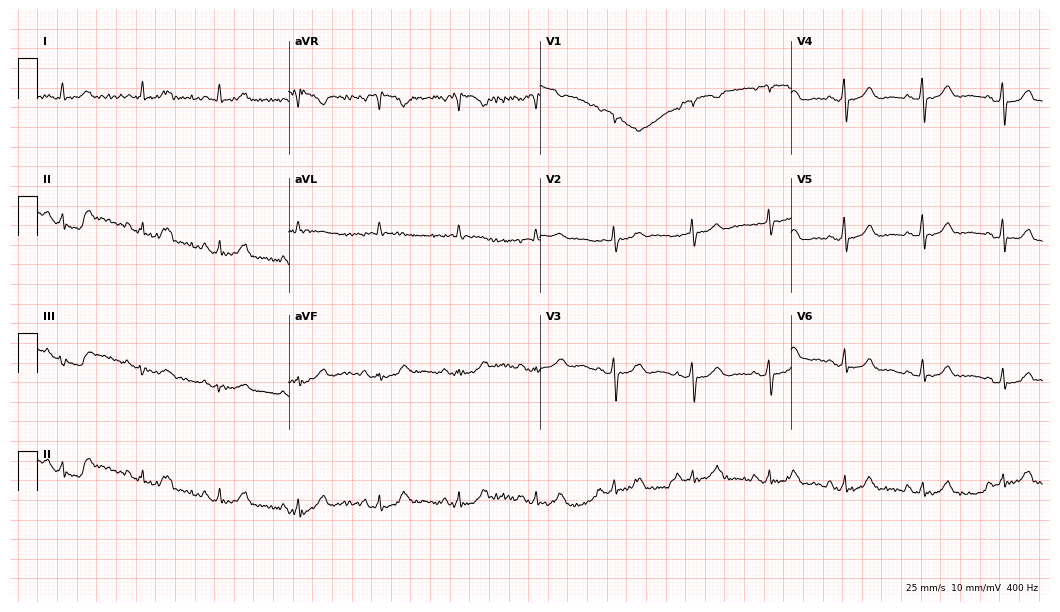
12-lead ECG from a 71-year-old woman. Recorded interpretation: within normal limits.